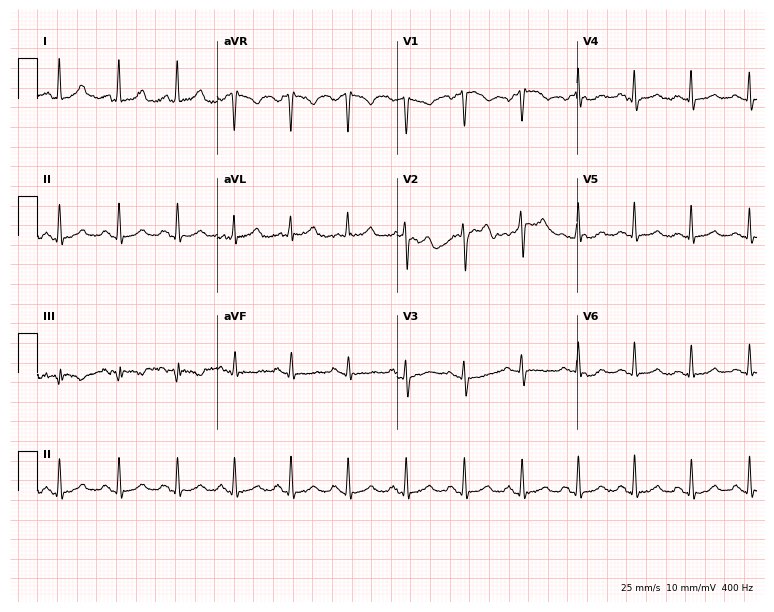
12-lead ECG (7.3-second recording at 400 Hz) from a 55-year-old female patient. Findings include sinus tachycardia (a sinus rate of 100 beats per minute or more).